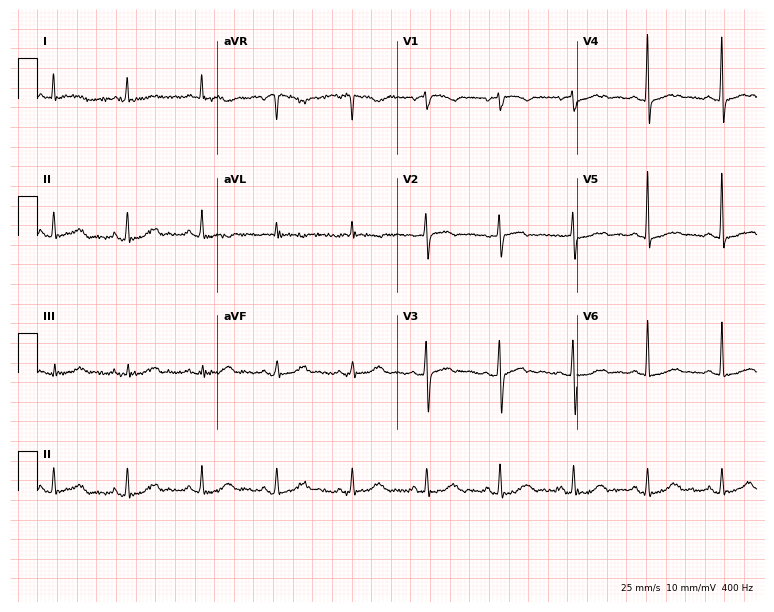
Resting 12-lead electrocardiogram. Patient: a 69-year-old female. None of these six findings is recorded: first-degree AV block, right bundle branch block, left bundle branch block, sinus bradycardia, atrial fibrillation, sinus tachycardia.